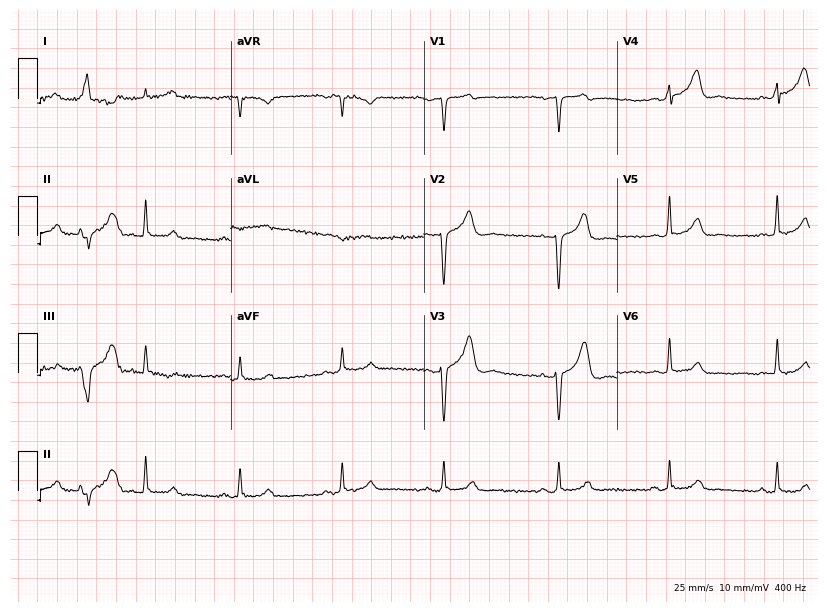
ECG (7.9-second recording at 400 Hz) — a female, 50 years old. Screened for six findings — first-degree AV block, right bundle branch block, left bundle branch block, sinus bradycardia, atrial fibrillation, sinus tachycardia — none is recorded. Findings outside these six are not listed.